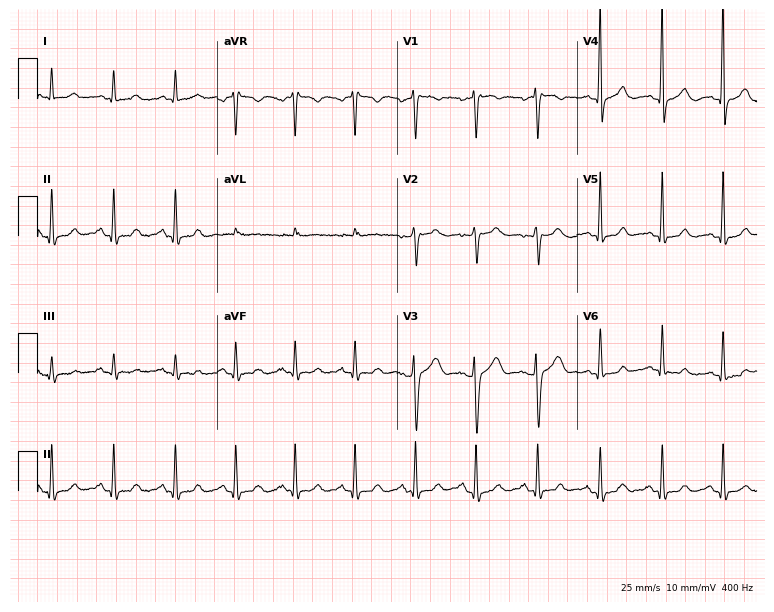
ECG — a 39-year-old woman. Screened for six findings — first-degree AV block, right bundle branch block (RBBB), left bundle branch block (LBBB), sinus bradycardia, atrial fibrillation (AF), sinus tachycardia — none is recorded. Findings outside these six are not listed.